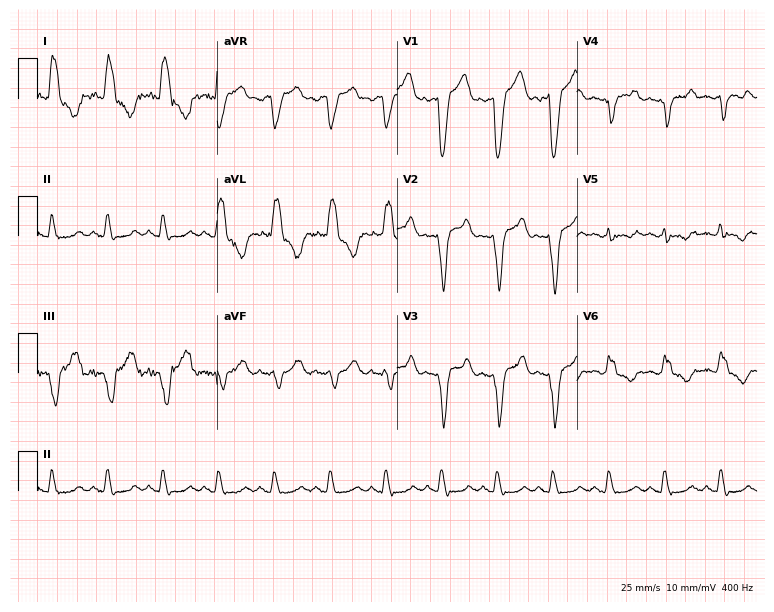
ECG — a 62-year-old male. Findings include left bundle branch block, sinus tachycardia (a sinus rate of 100 beats per minute or more).